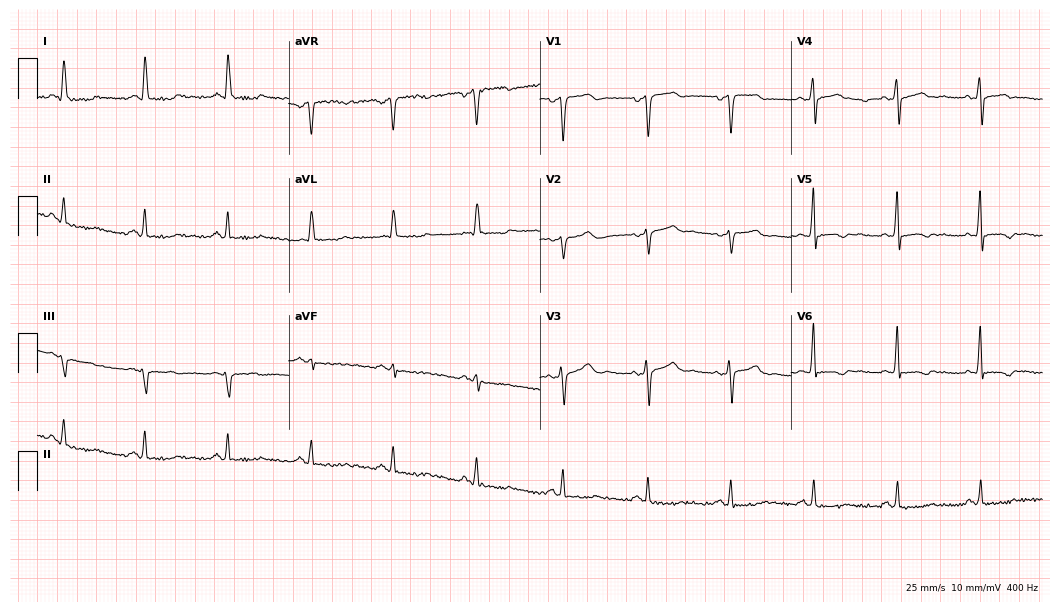
12-lead ECG from a woman, 58 years old. Screened for six findings — first-degree AV block, right bundle branch block (RBBB), left bundle branch block (LBBB), sinus bradycardia, atrial fibrillation (AF), sinus tachycardia — none is recorded. Findings outside these six are not listed.